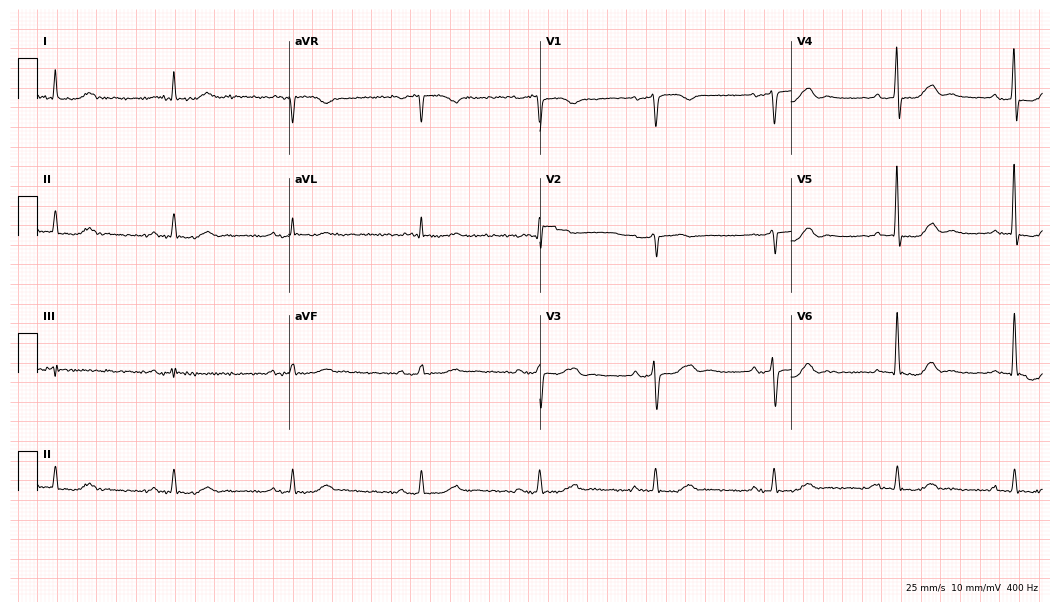
12-lead ECG from a 68-year-old male patient. Findings include first-degree AV block, right bundle branch block.